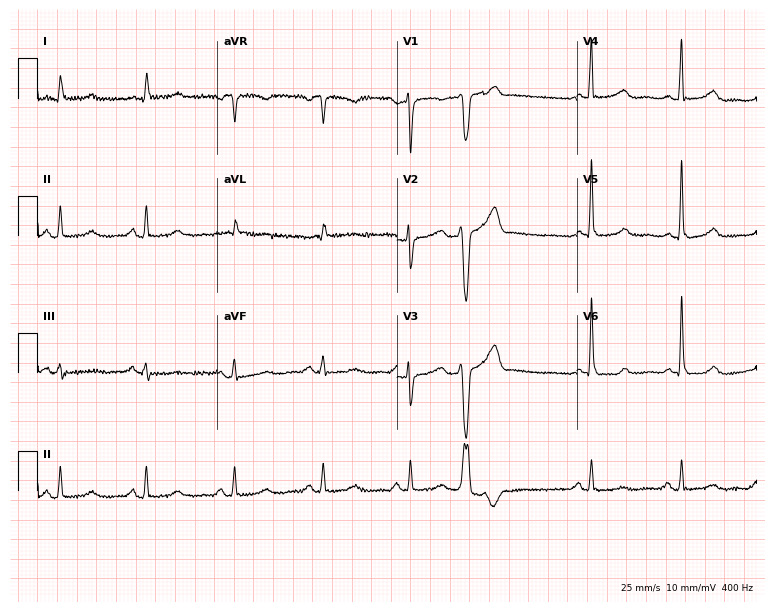
Electrocardiogram (7.3-second recording at 400 Hz), a 67-year-old female. Of the six screened findings (first-degree AV block, right bundle branch block, left bundle branch block, sinus bradycardia, atrial fibrillation, sinus tachycardia), none is recorded. Only these six findings were labelled.